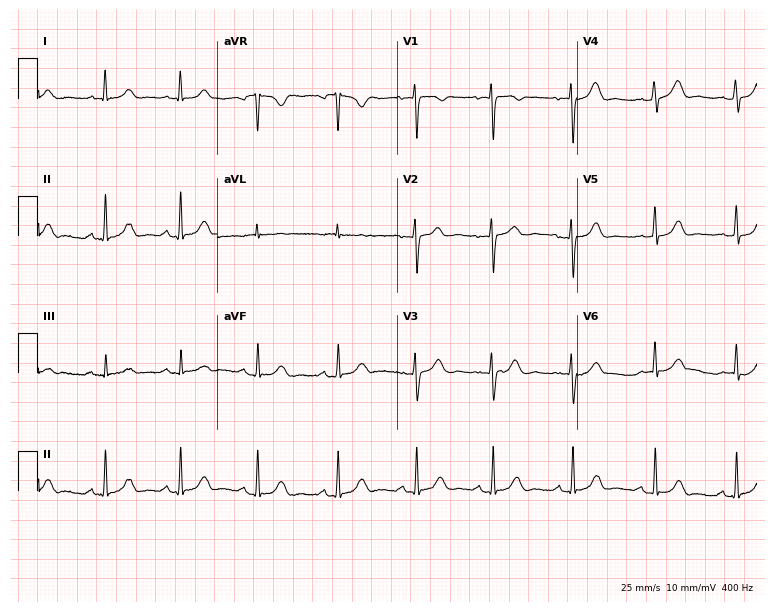
Resting 12-lead electrocardiogram. Patient: a woman, 32 years old. None of these six findings is recorded: first-degree AV block, right bundle branch block, left bundle branch block, sinus bradycardia, atrial fibrillation, sinus tachycardia.